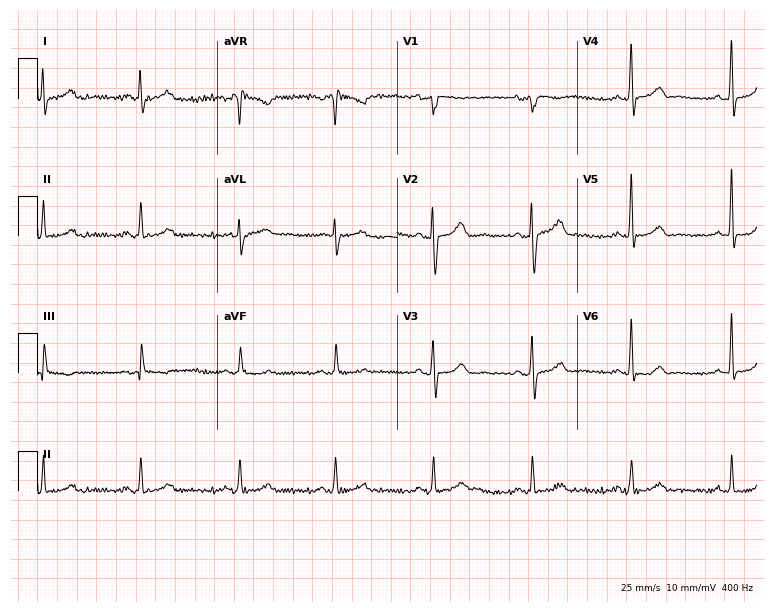
12-lead ECG from a male, 64 years old. Screened for six findings — first-degree AV block, right bundle branch block (RBBB), left bundle branch block (LBBB), sinus bradycardia, atrial fibrillation (AF), sinus tachycardia — none is recorded. Findings outside these six are not listed.